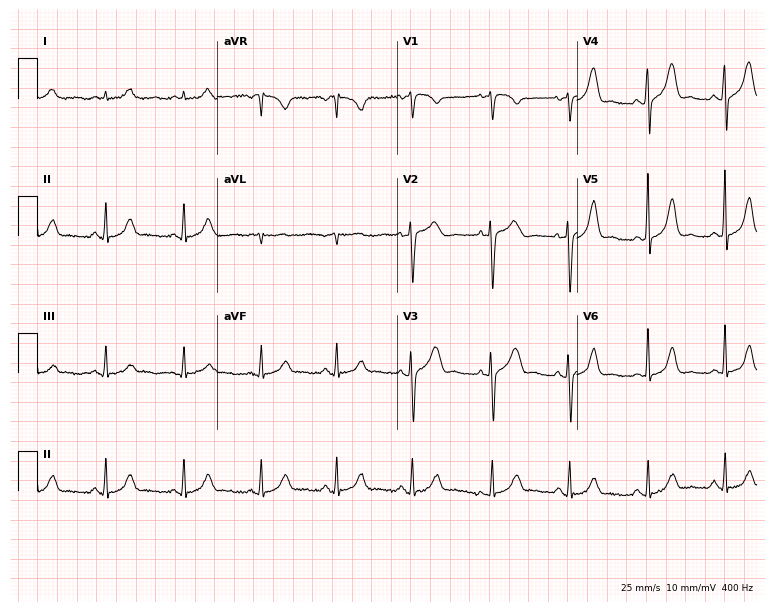
Resting 12-lead electrocardiogram (7.3-second recording at 400 Hz). Patient: a 59-year-old female. None of these six findings is recorded: first-degree AV block, right bundle branch block (RBBB), left bundle branch block (LBBB), sinus bradycardia, atrial fibrillation (AF), sinus tachycardia.